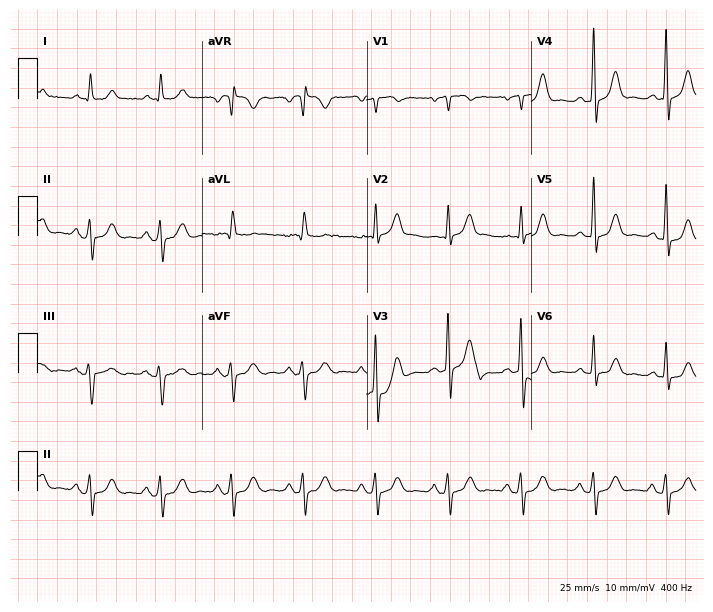
ECG — a male patient, 73 years old. Screened for six findings — first-degree AV block, right bundle branch block, left bundle branch block, sinus bradycardia, atrial fibrillation, sinus tachycardia — none is recorded.